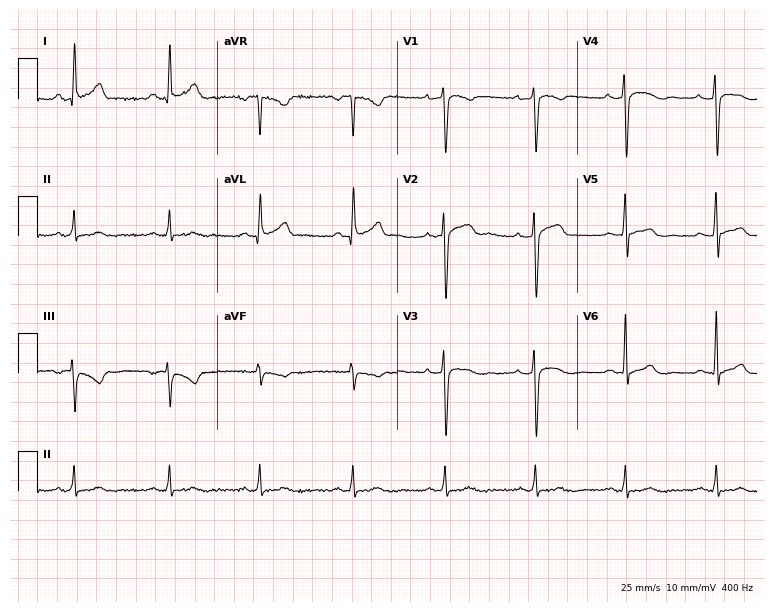
Resting 12-lead electrocardiogram (7.3-second recording at 400 Hz). Patient: a 40-year-old woman. None of these six findings is recorded: first-degree AV block, right bundle branch block, left bundle branch block, sinus bradycardia, atrial fibrillation, sinus tachycardia. Findings outside these six are not listed.